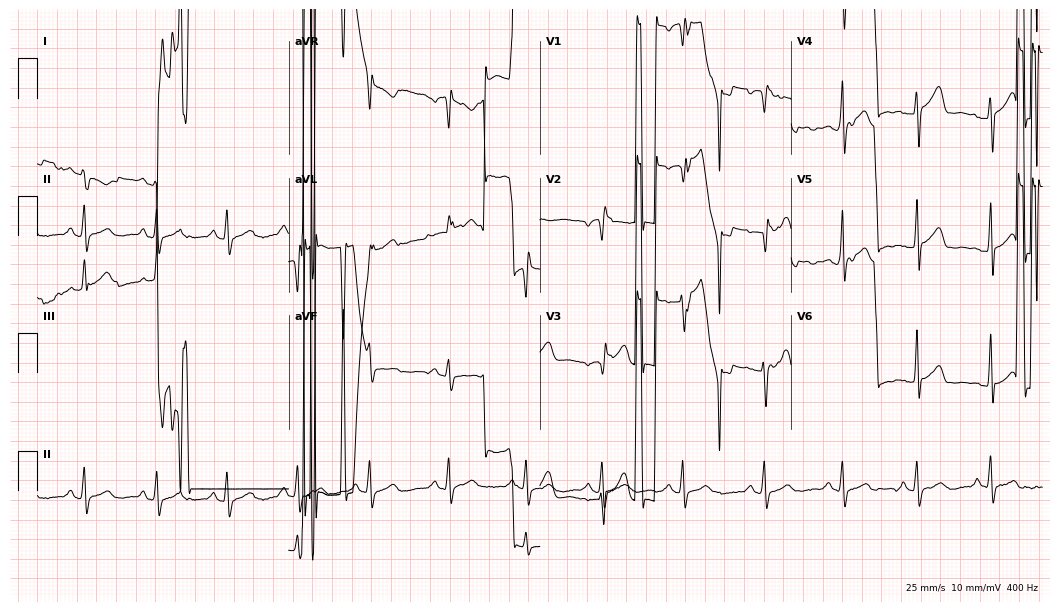
Standard 12-lead ECG recorded from a 32-year-old female patient. None of these six findings is recorded: first-degree AV block, right bundle branch block, left bundle branch block, sinus bradycardia, atrial fibrillation, sinus tachycardia. Findings outside these six are not listed.